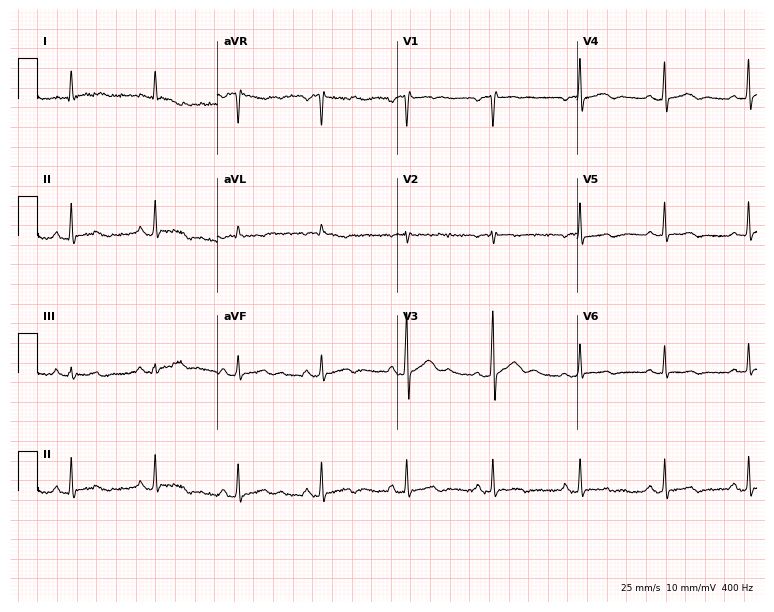
Standard 12-lead ECG recorded from a 71-year-old male (7.3-second recording at 400 Hz). Read as a normal ECG.